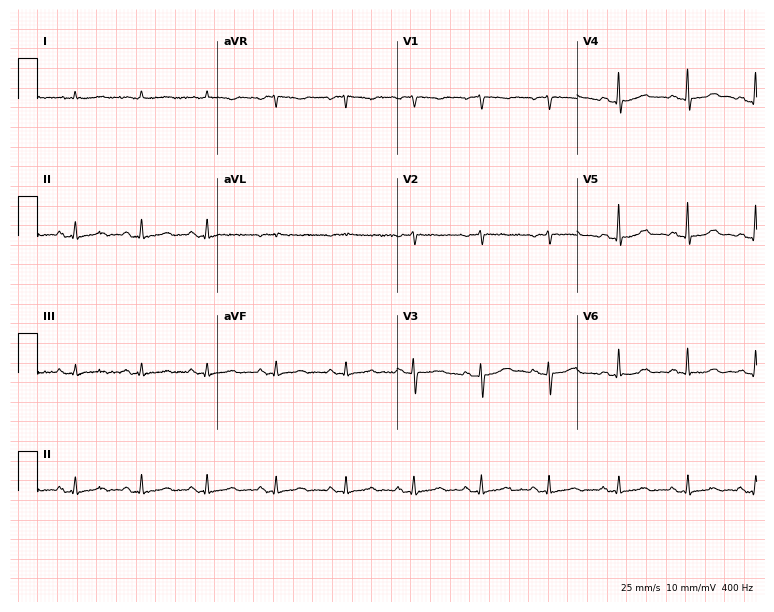
12-lead ECG (7.3-second recording at 400 Hz) from a man, 87 years old. Labelled as a normal ECG.